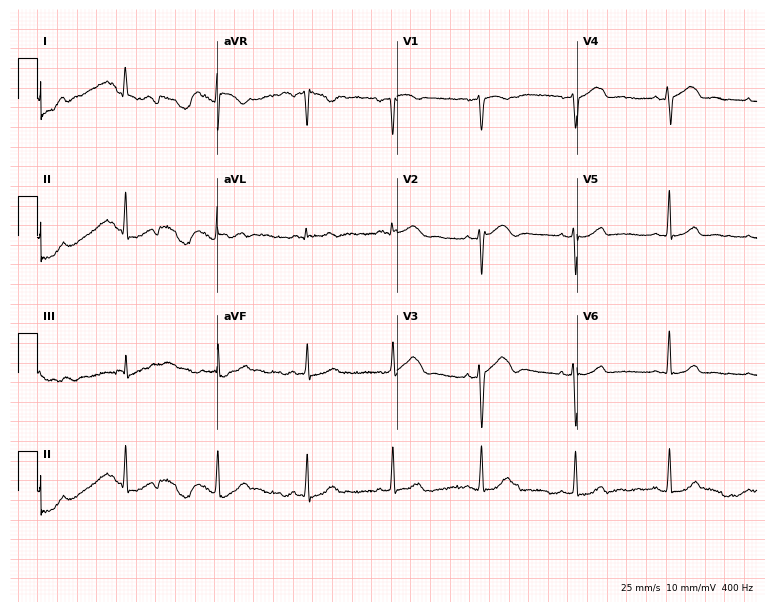
Standard 12-lead ECG recorded from a female patient, 31 years old. None of these six findings is recorded: first-degree AV block, right bundle branch block, left bundle branch block, sinus bradycardia, atrial fibrillation, sinus tachycardia. Only these six findings were labelled.